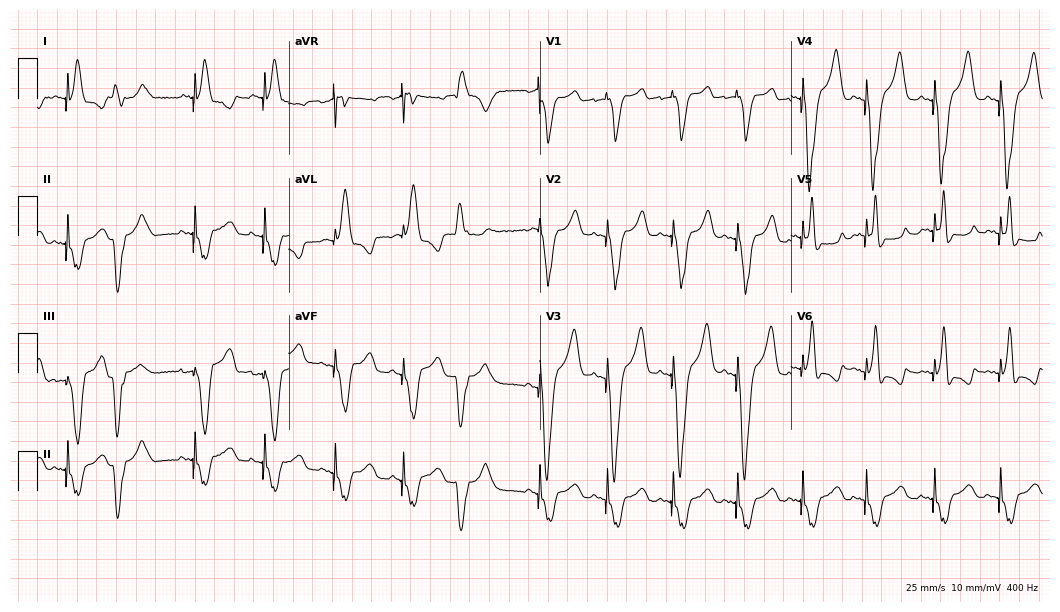
12-lead ECG from an 80-year-old woman (10.2-second recording at 400 Hz). No first-degree AV block, right bundle branch block (RBBB), left bundle branch block (LBBB), sinus bradycardia, atrial fibrillation (AF) or sinus tachycardia recorded for this tracing.